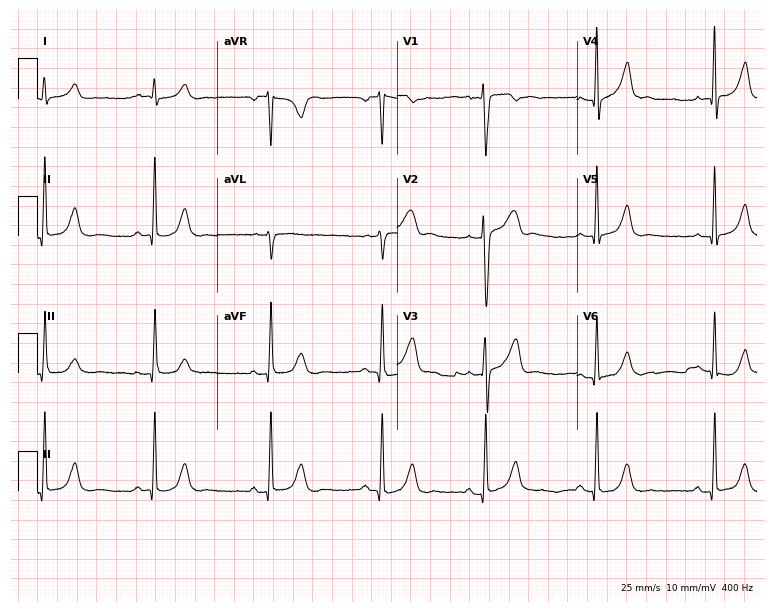
Electrocardiogram (7.3-second recording at 400 Hz), a 32-year-old female patient. Overall reading on record: normal ECG.